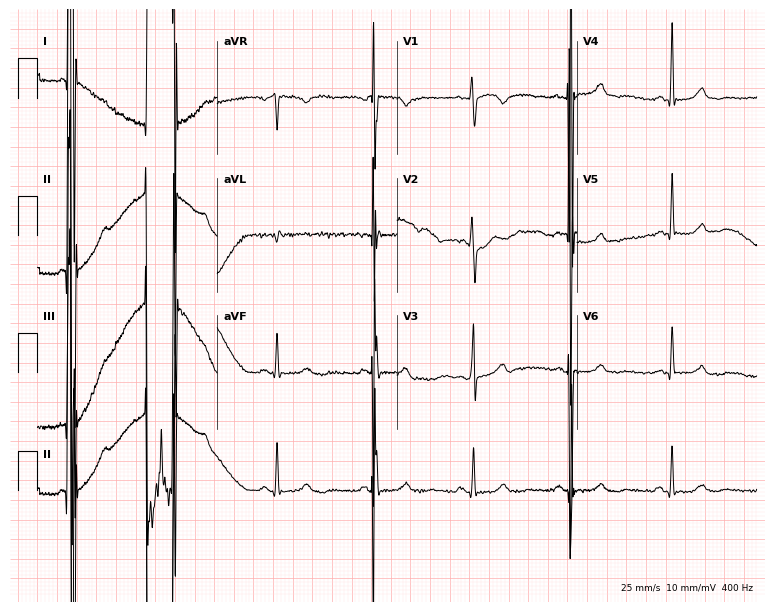
Resting 12-lead electrocardiogram. Patient: a female, 58 years old. None of these six findings is recorded: first-degree AV block, right bundle branch block, left bundle branch block, sinus bradycardia, atrial fibrillation, sinus tachycardia.